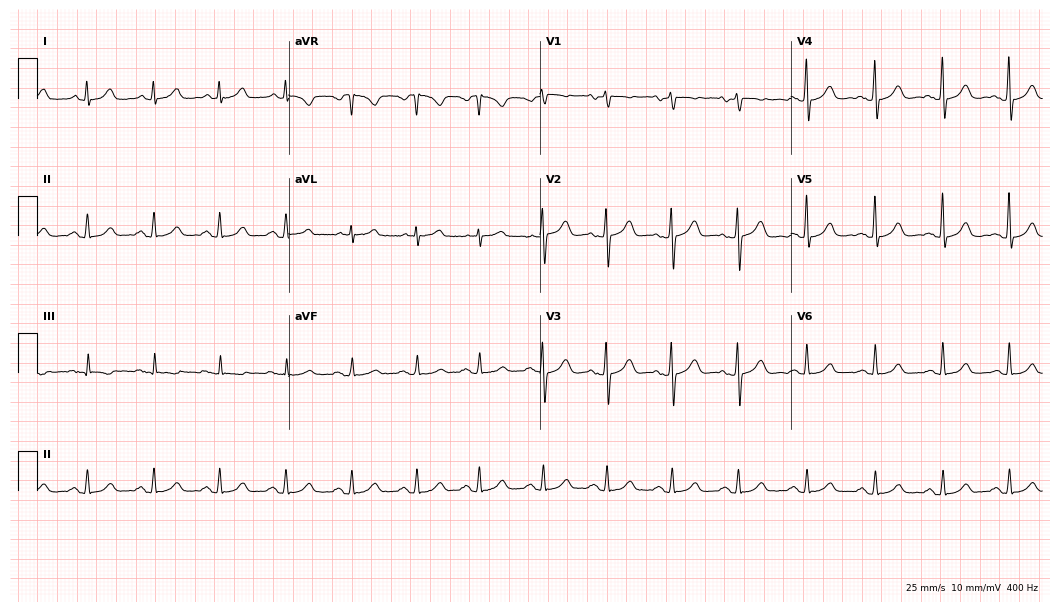
12-lead ECG (10.2-second recording at 400 Hz) from a 56-year-old female patient. Screened for six findings — first-degree AV block, right bundle branch block, left bundle branch block, sinus bradycardia, atrial fibrillation, sinus tachycardia — none is recorded. Other findings, if any, are not listed.